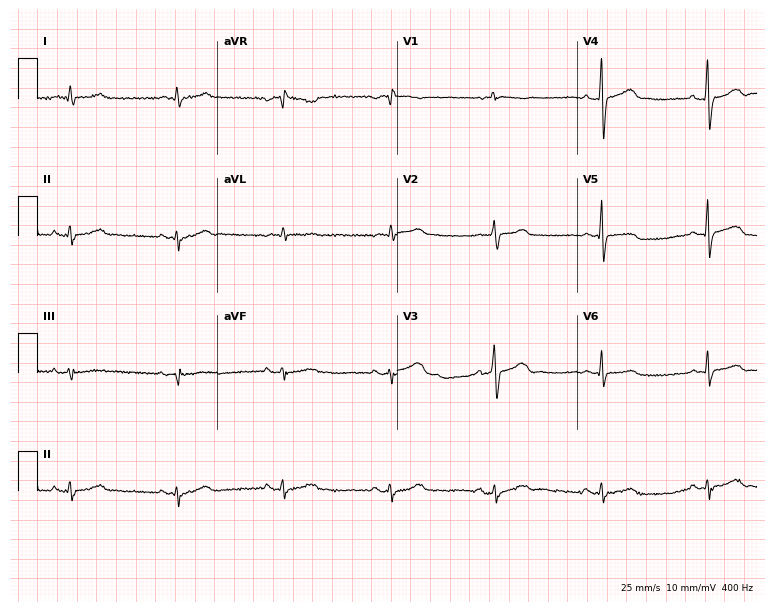
12-lead ECG (7.3-second recording at 400 Hz) from a male patient, 69 years old. Labelled as a normal ECG.